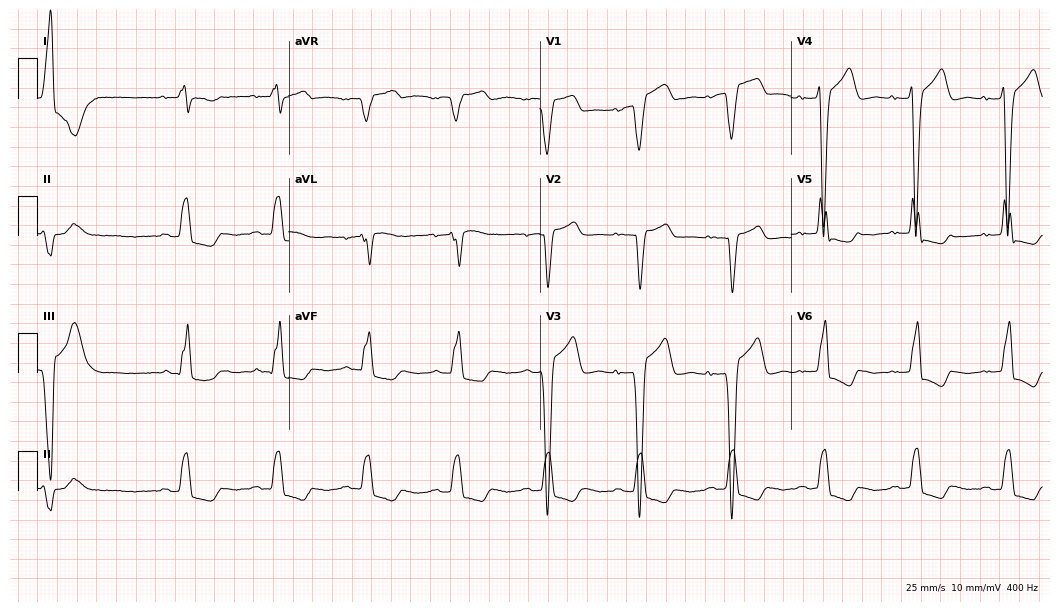
Electrocardiogram, a female patient, 68 years old. Of the six screened findings (first-degree AV block, right bundle branch block, left bundle branch block, sinus bradycardia, atrial fibrillation, sinus tachycardia), none is recorded. Only these six findings were labelled.